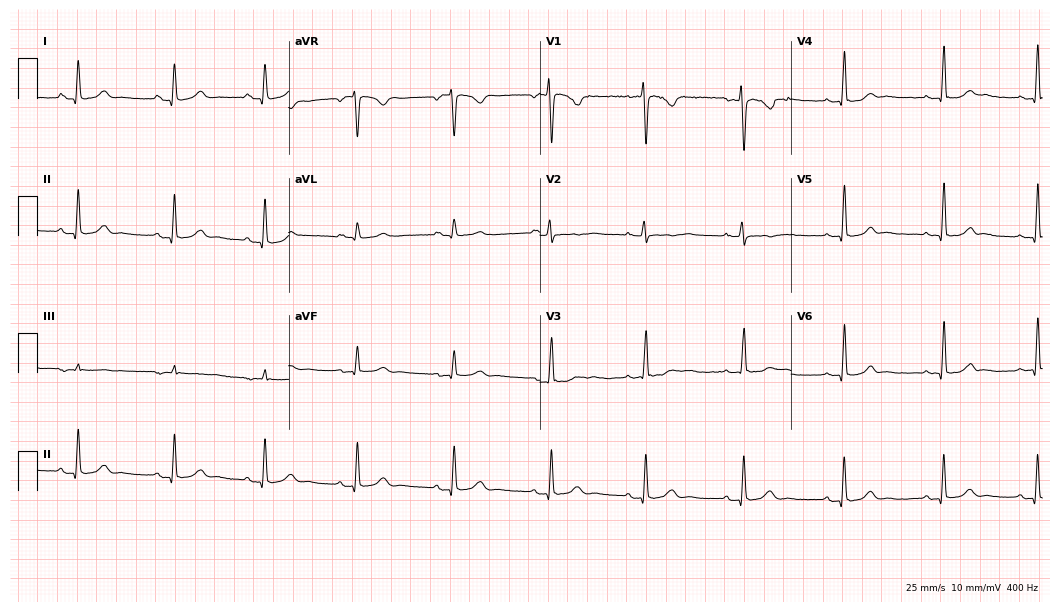
Standard 12-lead ECG recorded from a woman, 29 years old. Read as a normal ECG.